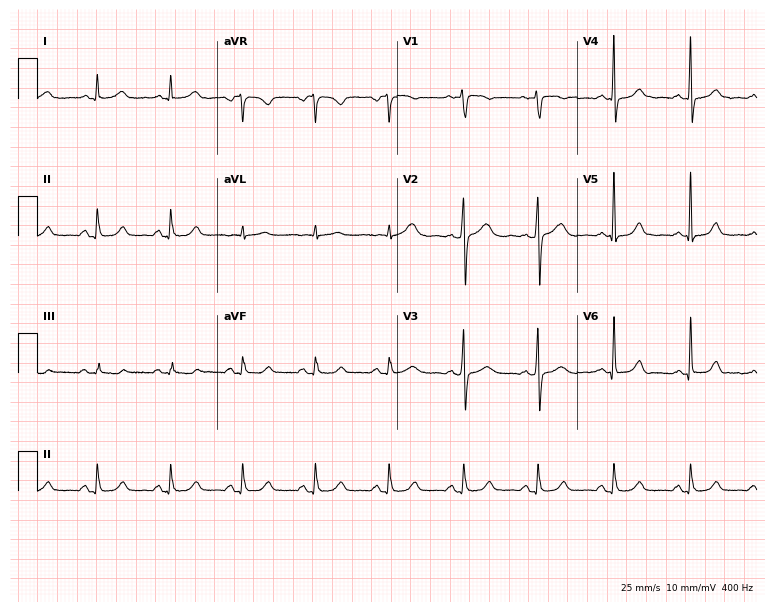
Resting 12-lead electrocardiogram. Patient: a 40-year-old woman. Read as a normal ECG.